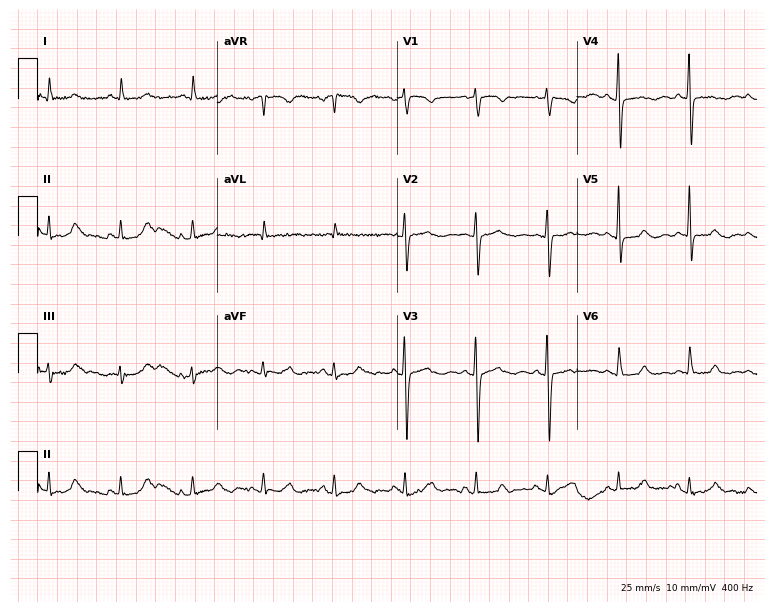
Standard 12-lead ECG recorded from a 70-year-old female patient (7.3-second recording at 400 Hz). None of these six findings is recorded: first-degree AV block, right bundle branch block (RBBB), left bundle branch block (LBBB), sinus bradycardia, atrial fibrillation (AF), sinus tachycardia. Other findings, if any, are not listed.